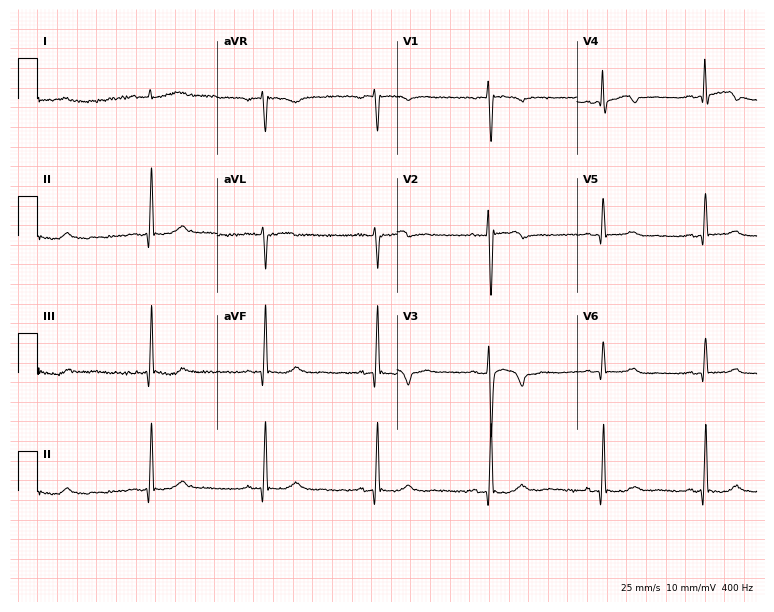
12-lead ECG (7.3-second recording at 400 Hz) from a female, 45 years old. Screened for six findings — first-degree AV block, right bundle branch block (RBBB), left bundle branch block (LBBB), sinus bradycardia, atrial fibrillation (AF), sinus tachycardia — none is recorded. Other findings, if any, are not listed.